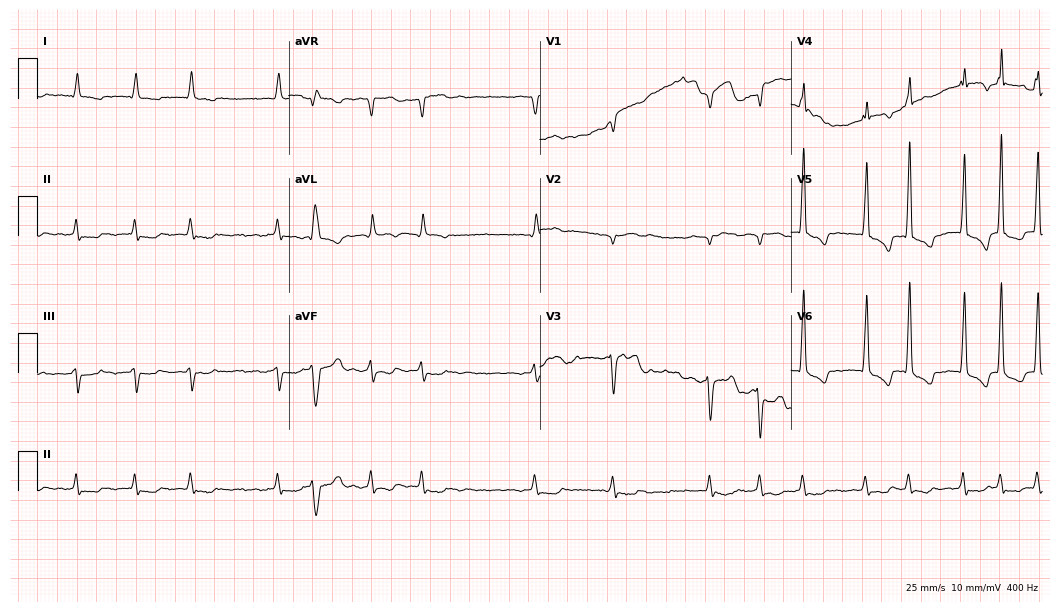
Resting 12-lead electrocardiogram (10.2-second recording at 400 Hz). Patient: an 83-year-old male. None of these six findings is recorded: first-degree AV block, right bundle branch block, left bundle branch block, sinus bradycardia, atrial fibrillation, sinus tachycardia.